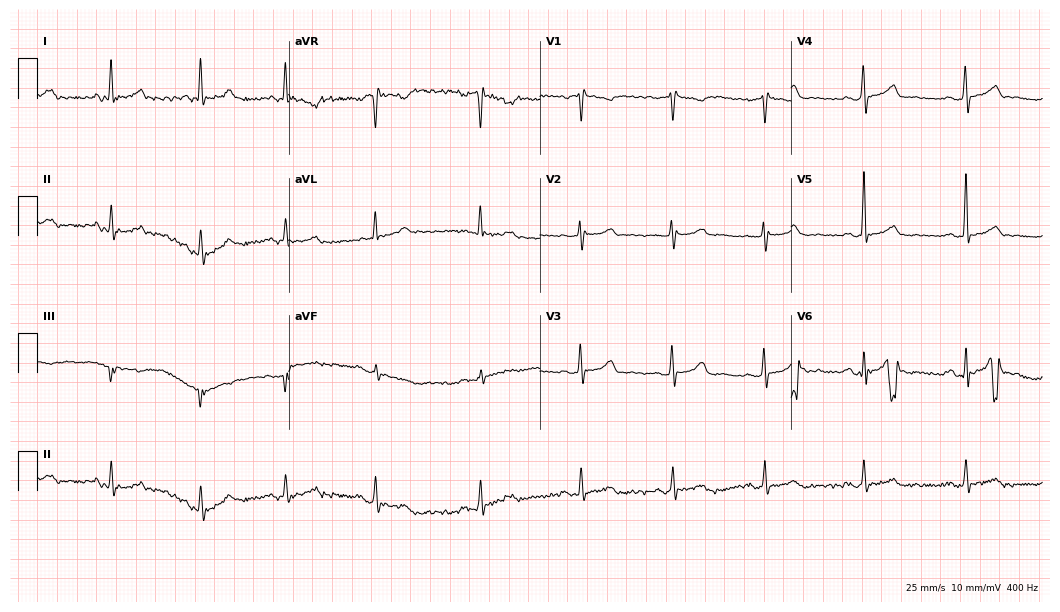
ECG (10.2-second recording at 400 Hz) — a 43-year-old female patient. Labelled as a normal ECG.